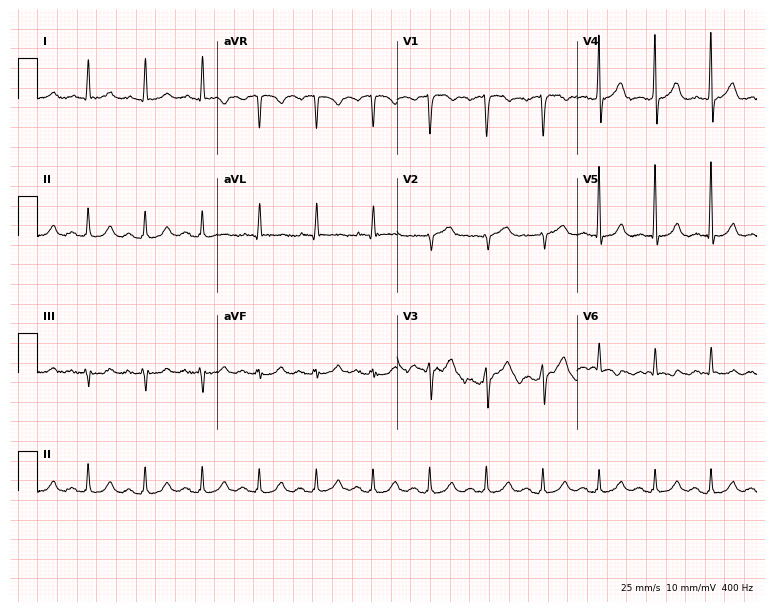
12-lead ECG (7.3-second recording at 400 Hz) from a man, 79 years old. Screened for six findings — first-degree AV block, right bundle branch block (RBBB), left bundle branch block (LBBB), sinus bradycardia, atrial fibrillation (AF), sinus tachycardia — none is recorded.